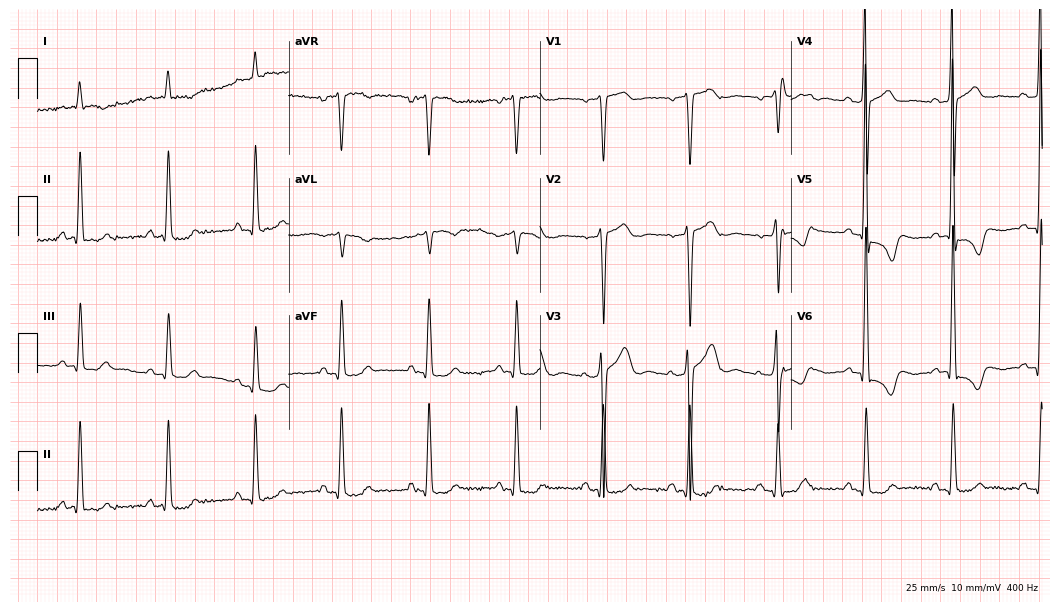
Electrocardiogram (10.2-second recording at 400 Hz), an 84-year-old man. Of the six screened findings (first-degree AV block, right bundle branch block, left bundle branch block, sinus bradycardia, atrial fibrillation, sinus tachycardia), none is recorded. Findings outside these six are not listed.